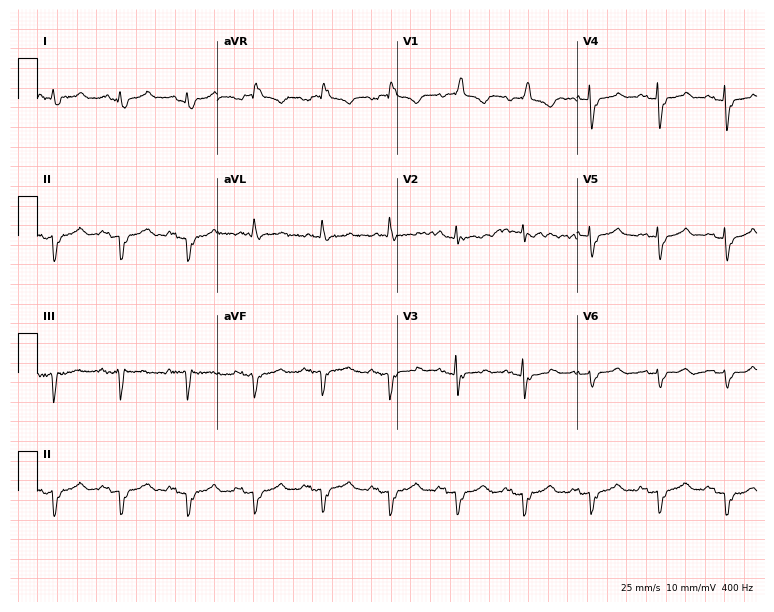
12-lead ECG from an 83-year-old female. No first-degree AV block, right bundle branch block, left bundle branch block, sinus bradycardia, atrial fibrillation or sinus tachycardia recorded for this tracing. Other findings, if any, are not listed.